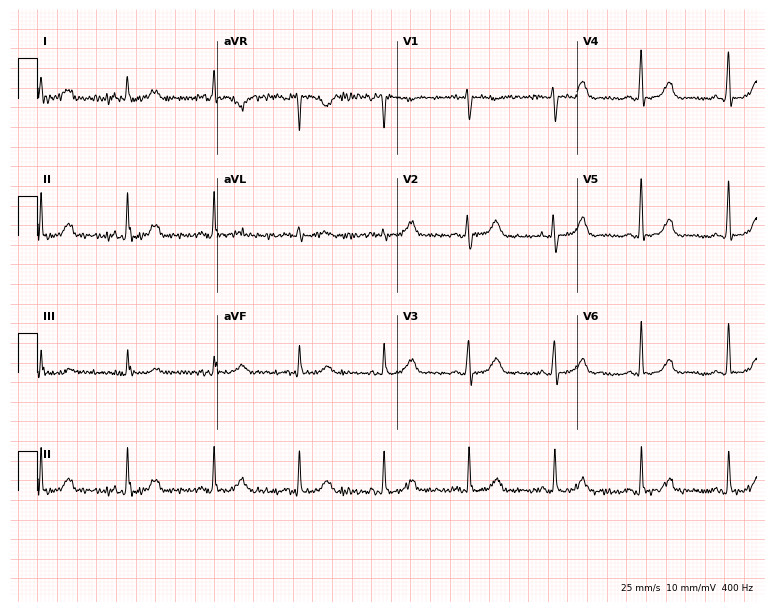
Standard 12-lead ECG recorded from a 56-year-old female. Read as a normal ECG.